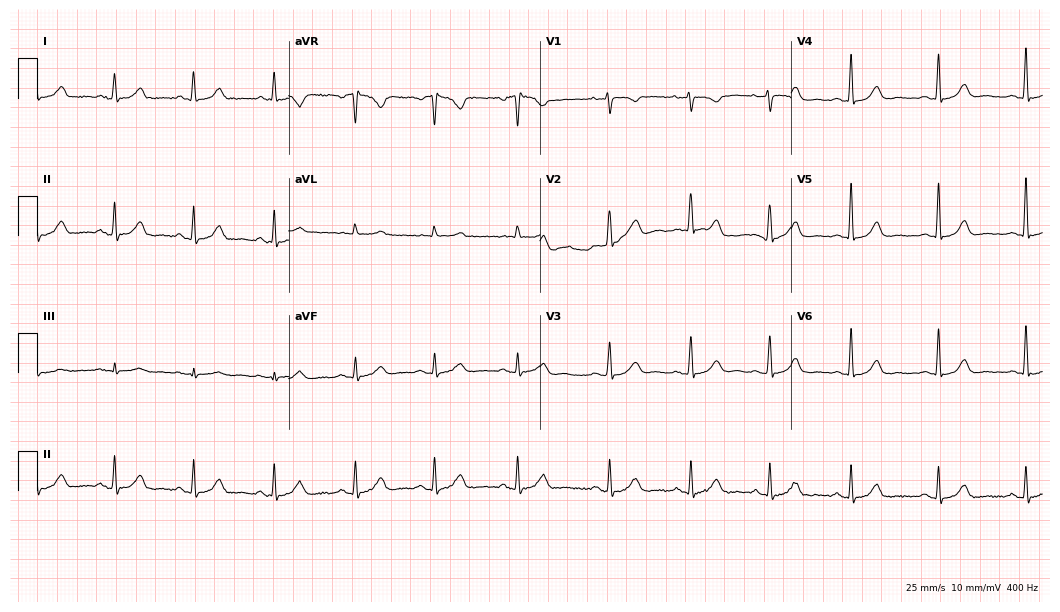
Resting 12-lead electrocardiogram. Patient: a 49-year-old female. Read as a normal ECG.